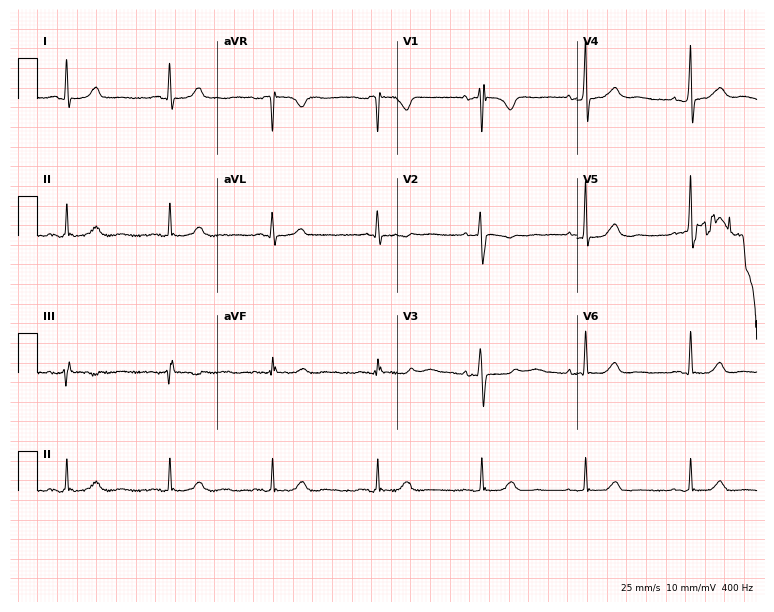
ECG — a 78-year-old woman. Screened for six findings — first-degree AV block, right bundle branch block (RBBB), left bundle branch block (LBBB), sinus bradycardia, atrial fibrillation (AF), sinus tachycardia — none is recorded.